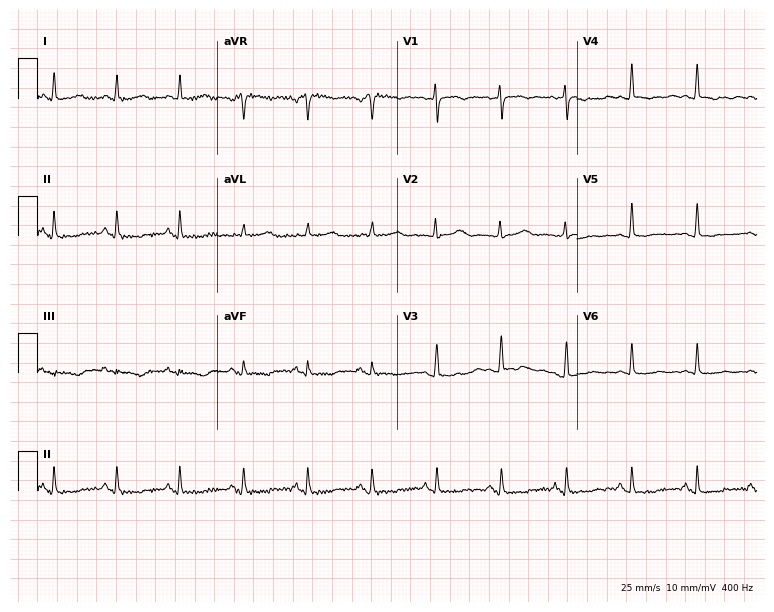
Resting 12-lead electrocardiogram. Patient: a 55-year-old female. None of these six findings is recorded: first-degree AV block, right bundle branch block, left bundle branch block, sinus bradycardia, atrial fibrillation, sinus tachycardia.